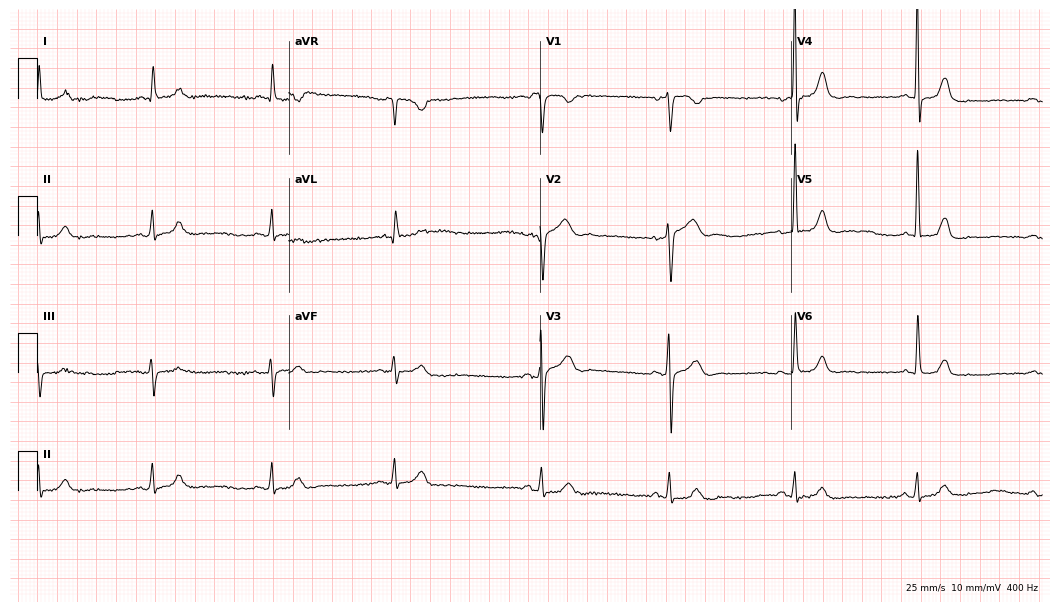
Electrocardiogram (10.2-second recording at 400 Hz), a 22-year-old man. Interpretation includes sinus bradycardia (a sinus rate of 50 beats per minute or less).